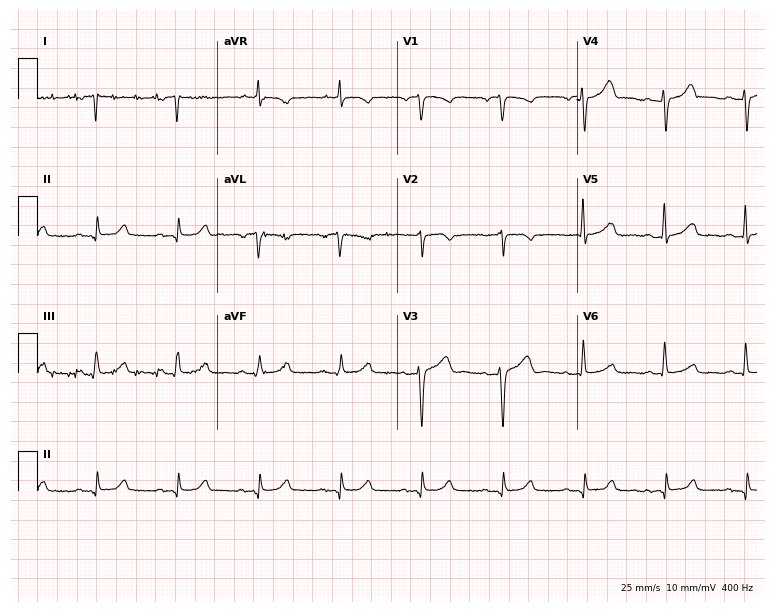
Standard 12-lead ECG recorded from a male patient, 73 years old (7.3-second recording at 400 Hz). None of these six findings is recorded: first-degree AV block, right bundle branch block, left bundle branch block, sinus bradycardia, atrial fibrillation, sinus tachycardia.